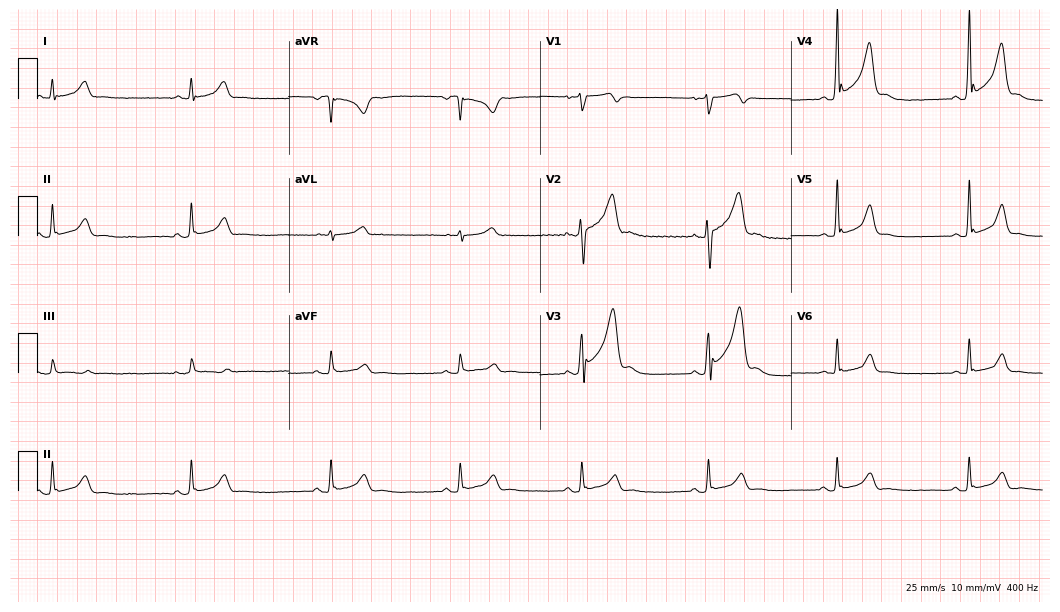
Resting 12-lead electrocardiogram. Patient: a 41-year-old male. The tracing shows sinus bradycardia (a sinus rate of 50 beats per minute or less).